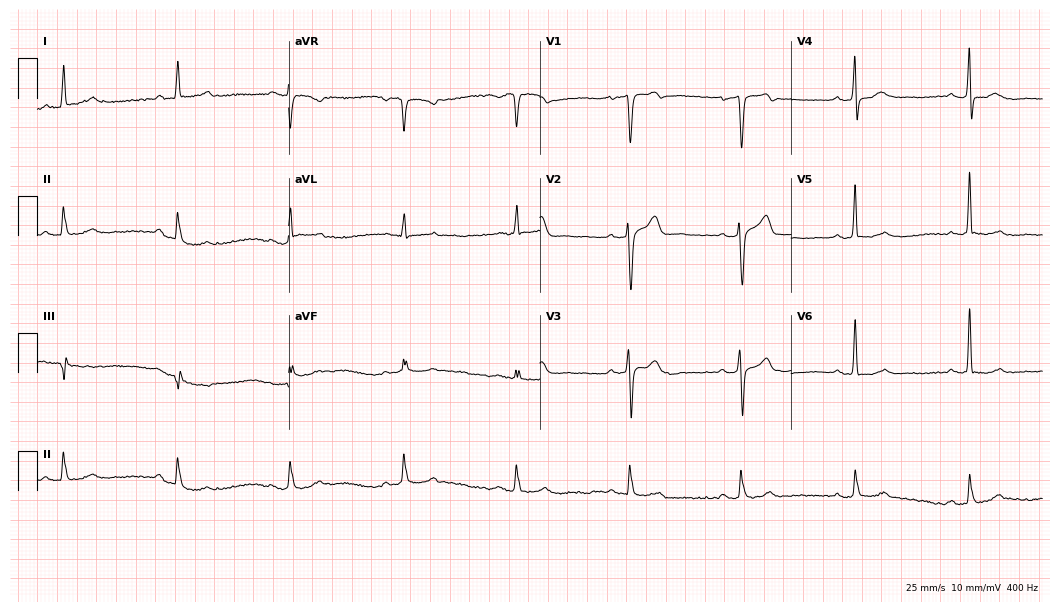
ECG (10.2-second recording at 400 Hz) — a male patient, 60 years old. Findings include first-degree AV block.